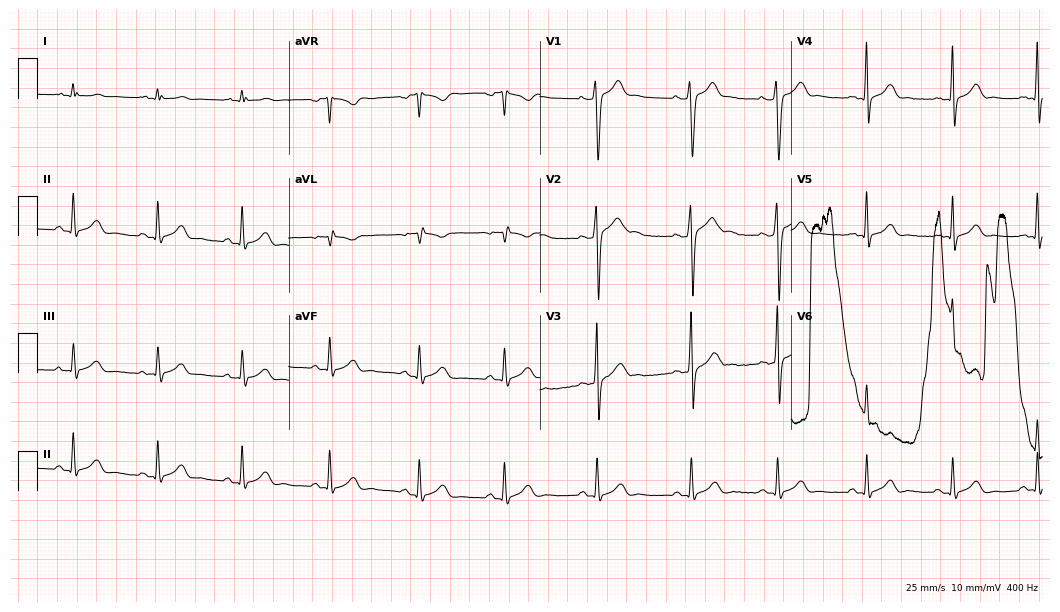
ECG — a 31-year-old male patient. Labelled as a normal ECG.